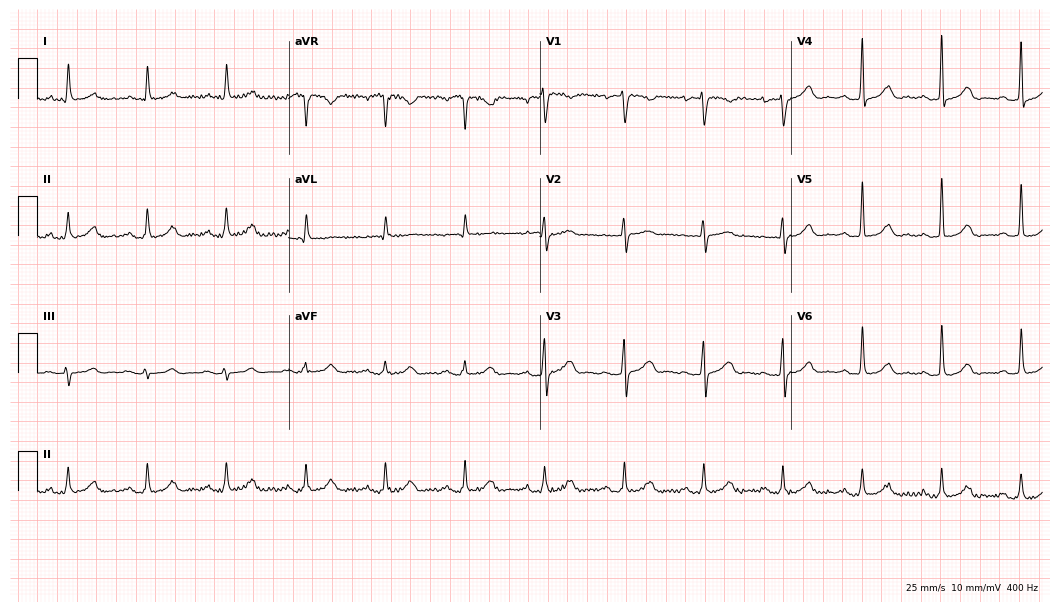
Resting 12-lead electrocardiogram (10.2-second recording at 400 Hz). Patient: a male, 80 years old. Read as a normal ECG.